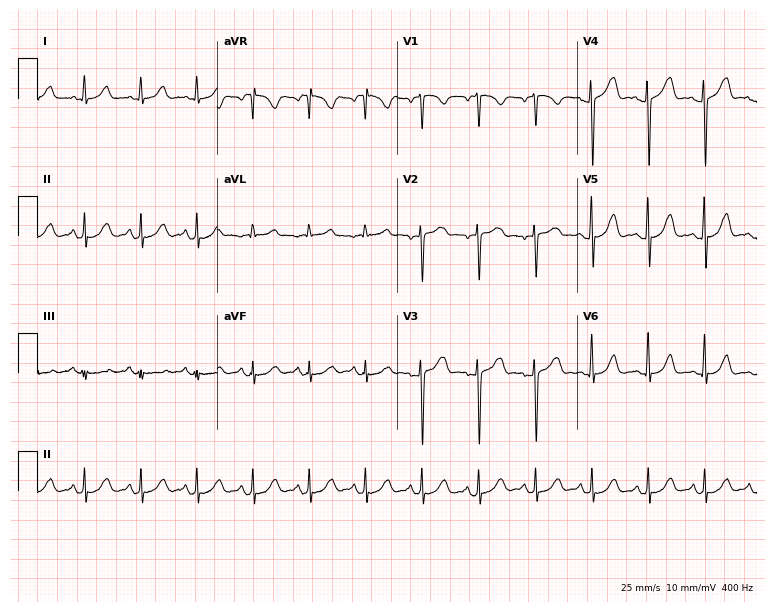
ECG — a female, 33 years old. Findings include sinus tachycardia (a sinus rate of 100 beats per minute or more).